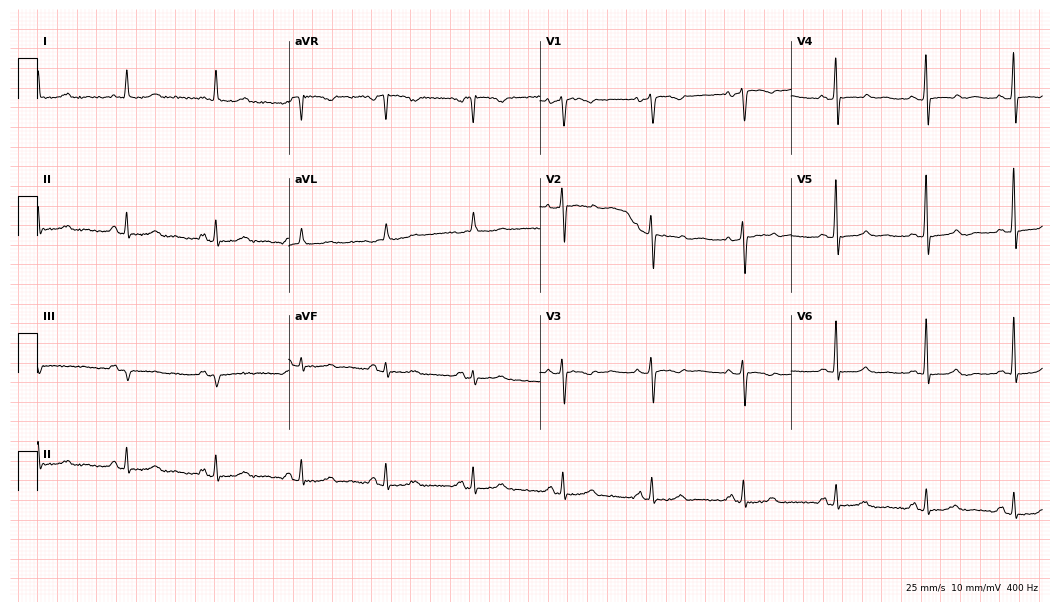
ECG — a 60-year-old woman. Screened for six findings — first-degree AV block, right bundle branch block (RBBB), left bundle branch block (LBBB), sinus bradycardia, atrial fibrillation (AF), sinus tachycardia — none is recorded. Findings outside these six are not listed.